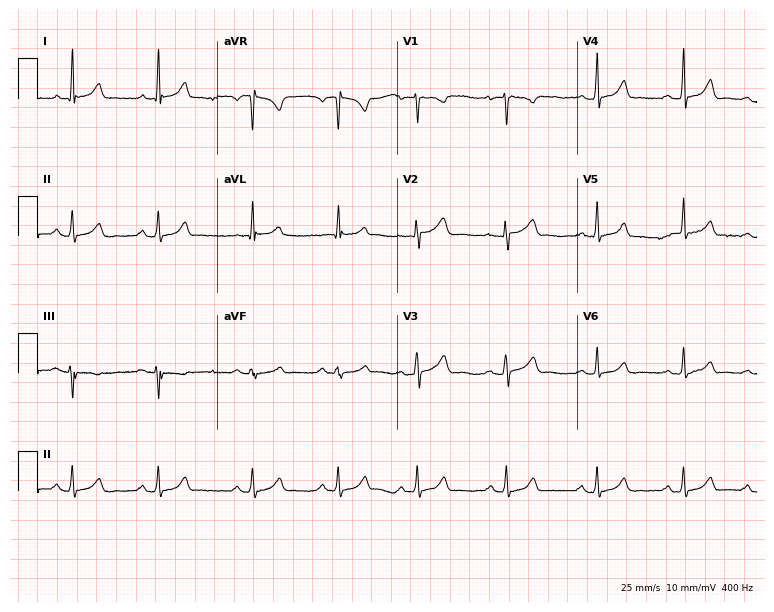
Standard 12-lead ECG recorded from a woman, 35 years old (7.3-second recording at 400 Hz). None of these six findings is recorded: first-degree AV block, right bundle branch block, left bundle branch block, sinus bradycardia, atrial fibrillation, sinus tachycardia.